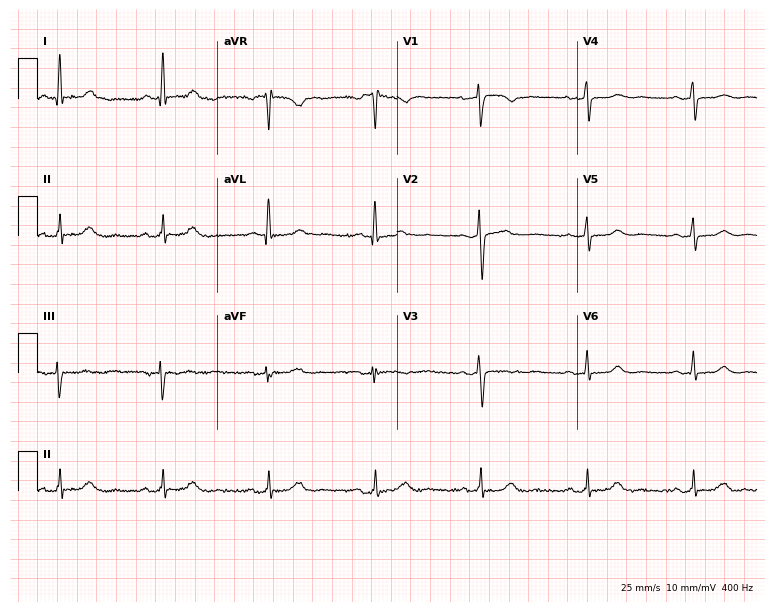
Resting 12-lead electrocardiogram. Patient: a 57-year-old female. Read as a normal ECG.